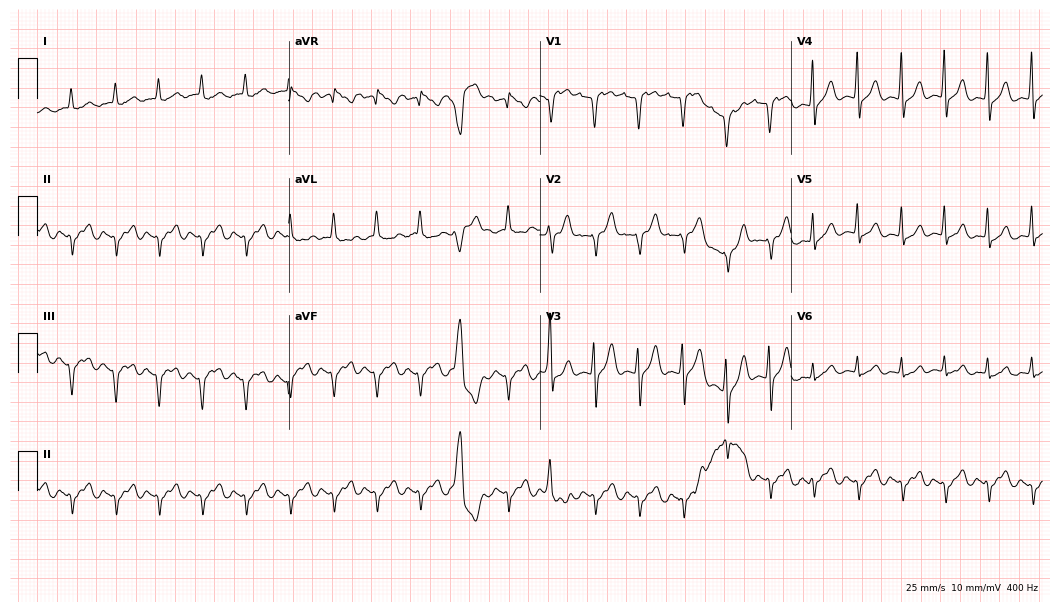
Standard 12-lead ECG recorded from an 82-year-old male patient (10.2-second recording at 400 Hz). The tracing shows sinus tachycardia (a sinus rate of 100 beats per minute or more).